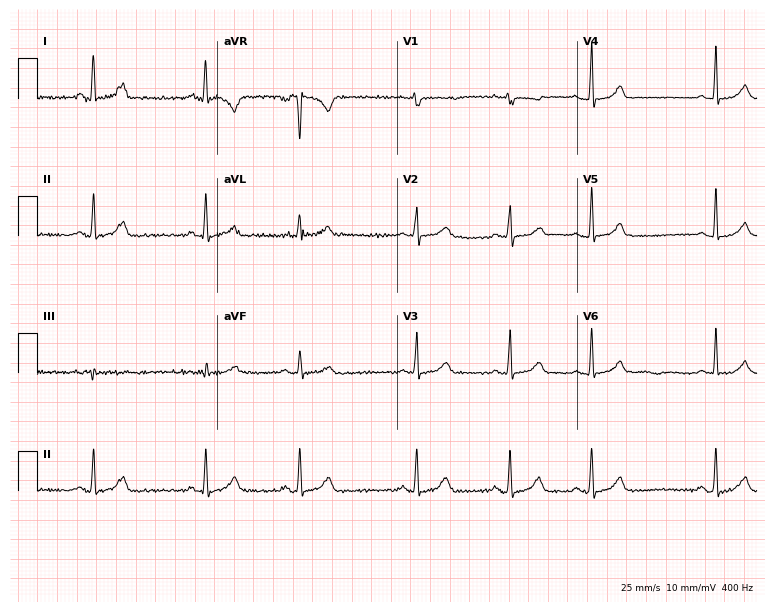
Resting 12-lead electrocardiogram (7.3-second recording at 400 Hz). Patient: a 27-year-old woman. Read as a normal ECG.